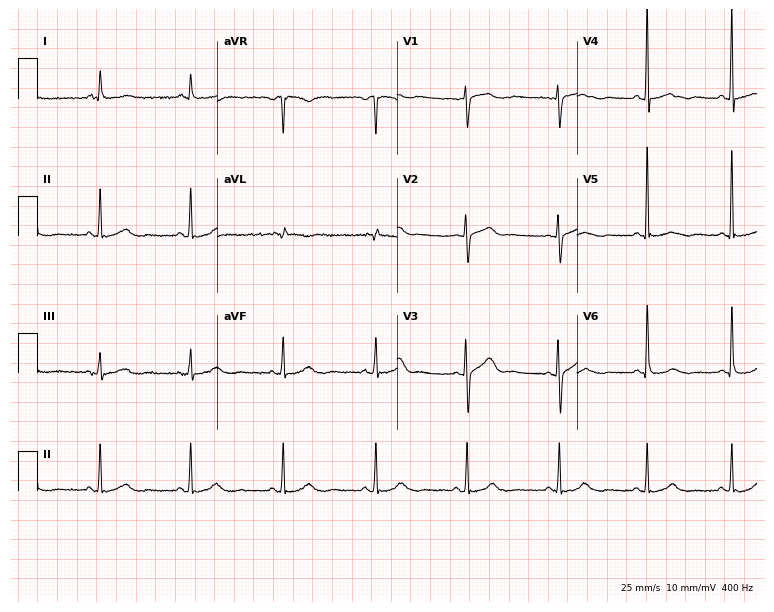
ECG — a female patient, 65 years old. Labelled as a normal ECG.